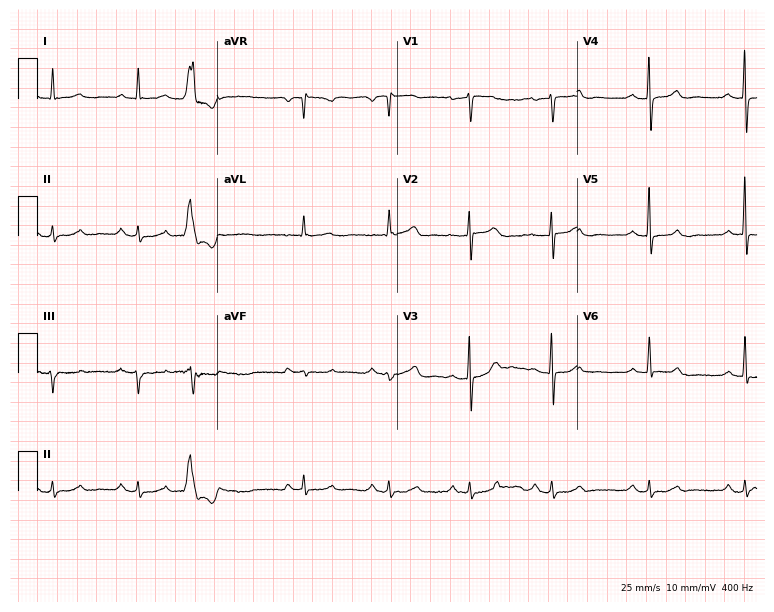
ECG (7.3-second recording at 400 Hz) — a female, 81 years old. Labelled as a normal ECG.